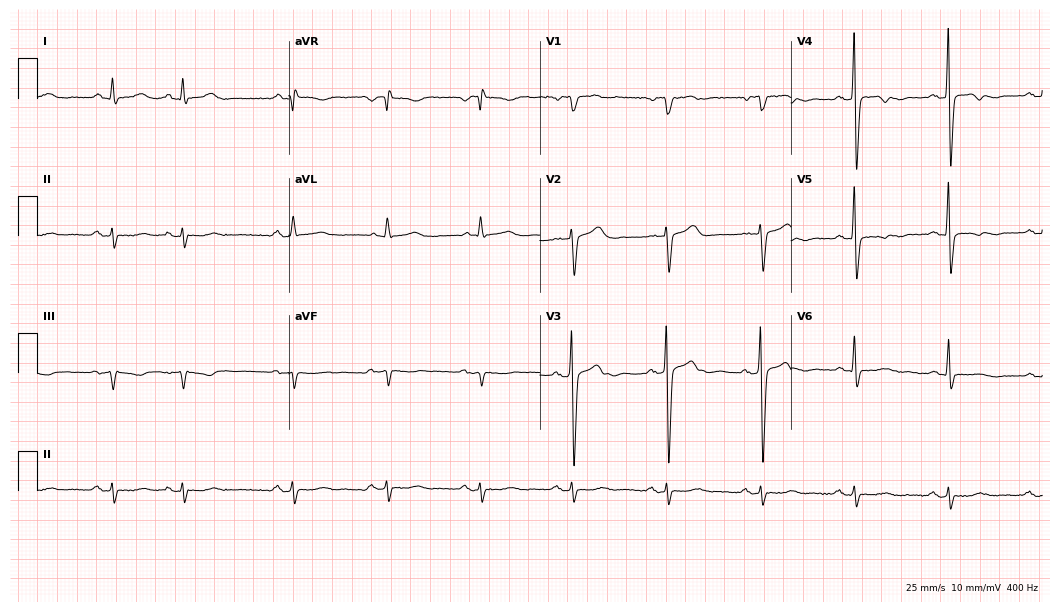
12-lead ECG from a man, 73 years old (10.2-second recording at 400 Hz). No first-degree AV block, right bundle branch block, left bundle branch block, sinus bradycardia, atrial fibrillation or sinus tachycardia recorded for this tracing. Findings outside these six are not listed.